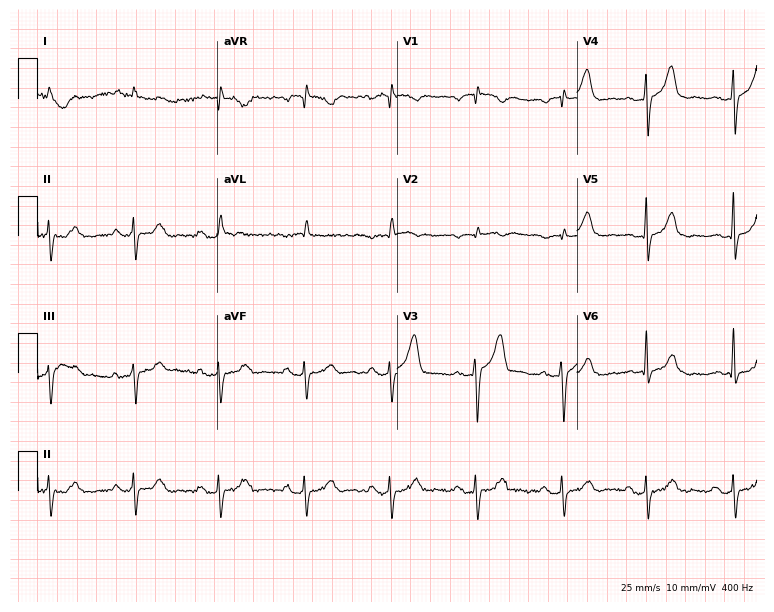
Resting 12-lead electrocardiogram (7.3-second recording at 400 Hz). Patient: a male, 71 years old. None of these six findings is recorded: first-degree AV block, right bundle branch block, left bundle branch block, sinus bradycardia, atrial fibrillation, sinus tachycardia.